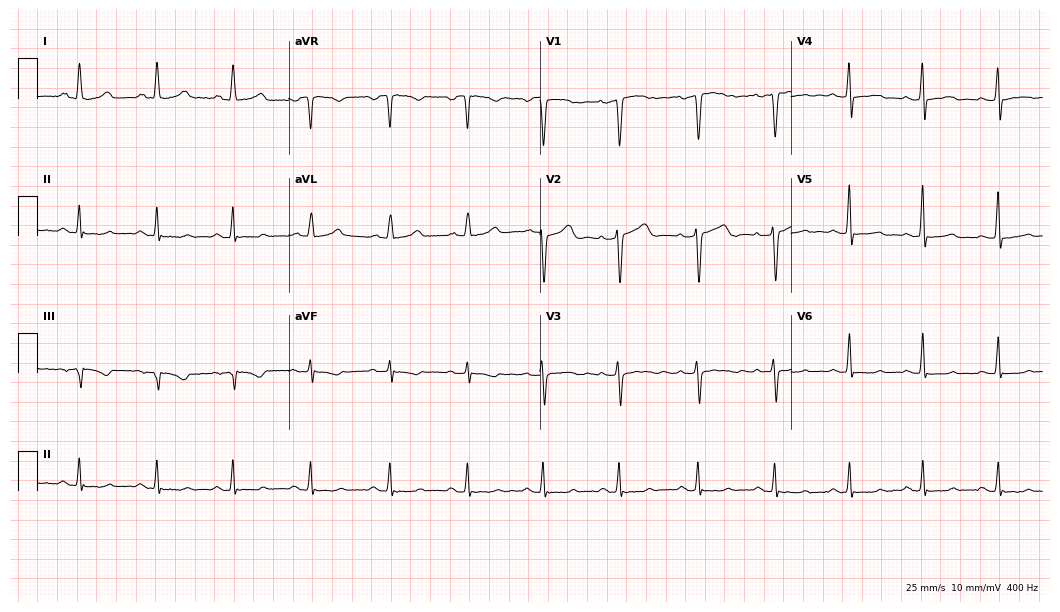
Resting 12-lead electrocardiogram (10.2-second recording at 400 Hz). Patient: a woman, 43 years old. None of these six findings is recorded: first-degree AV block, right bundle branch block (RBBB), left bundle branch block (LBBB), sinus bradycardia, atrial fibrillation (AF), sinus tachycardia.